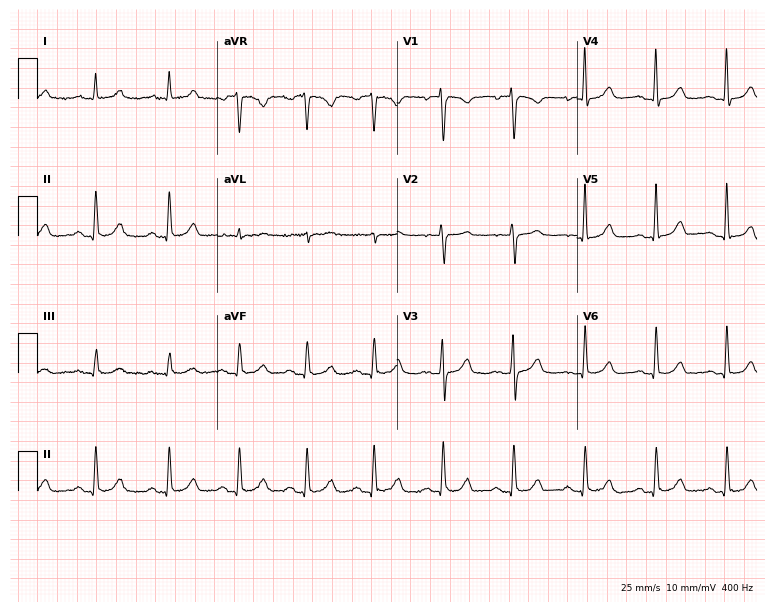
Standard 12-lead ECG recorded from a 41-year-old female. Read as a normal ECG.